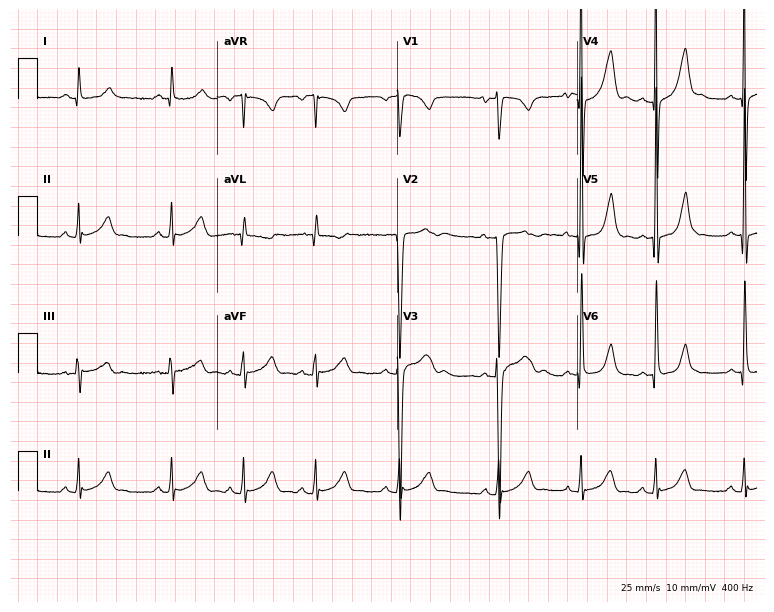
ECG (7.3-second recording at 400 Hz) — a man, 20 years old. Labelled as a normal ECG.